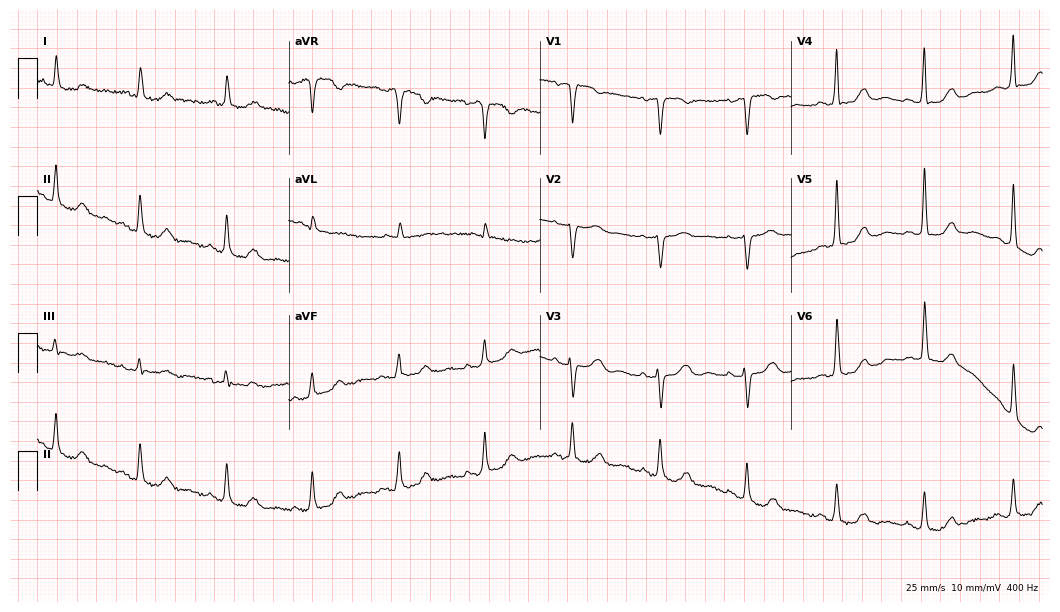
12-lead ECG from a 76-year-old female patient (10.2-second recording at 400 Hz). No first-degree AV block, right bundle branch block, left bundle branch block, sinus bradycardia, atrial fibrillation or sinus tachycardia recorded for this tracing. Other findings, if any, are not listed.